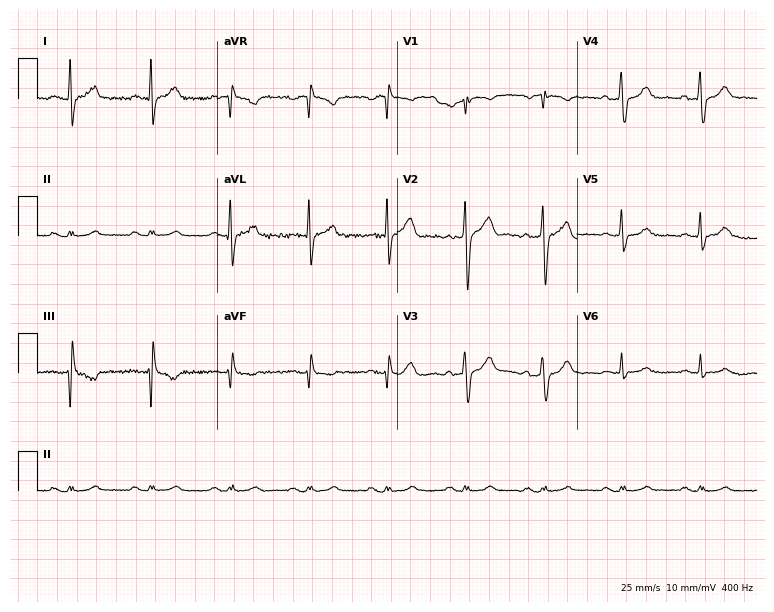
Standard 12-lead ECG recorded from a 60-year-old male patient (7.3-second recording at 400 Hz). None of these six findings is recorded: first-degree AV block, right bundle branch block, left bundle branch block, sinus bradycardia, atrial fibrillation, sinus tachycardia.